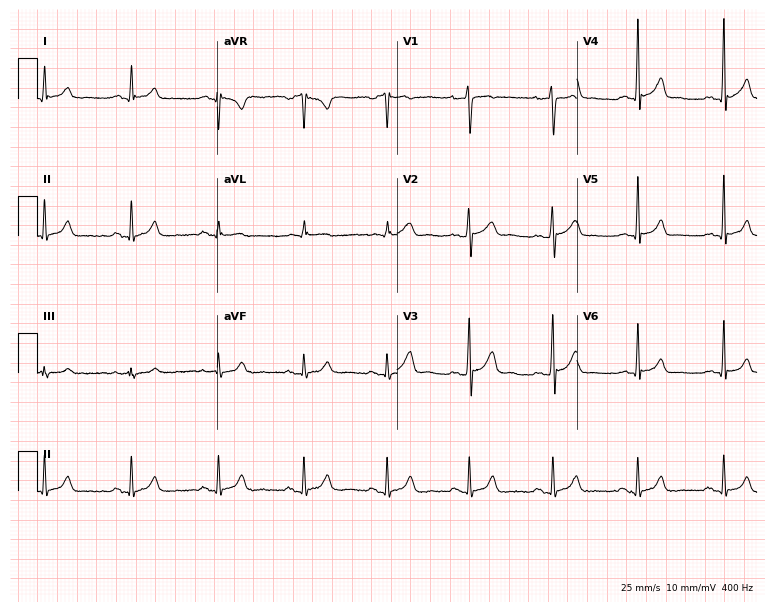
Standard 12-lead ECG recorded from a 21-year-old male patient. Read as a normal ECG.